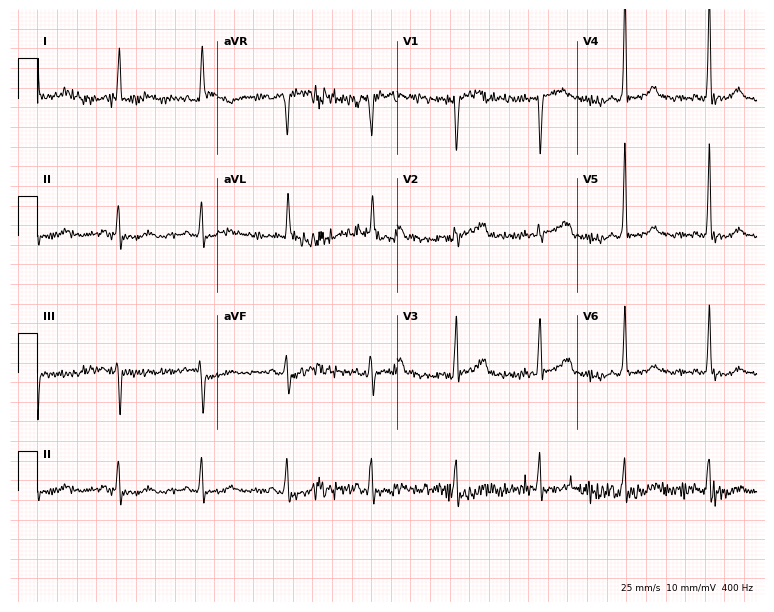
12-lead ECG from a woman, 67 years old. No first-degree AV block, right bundle branch block (RBBB), left bundle branch block (LBBB), sinus bradycardia, atrial fibrillation (AF) or sinus tachycardia recorded for this tracing. Other findings, if any, are not listed.